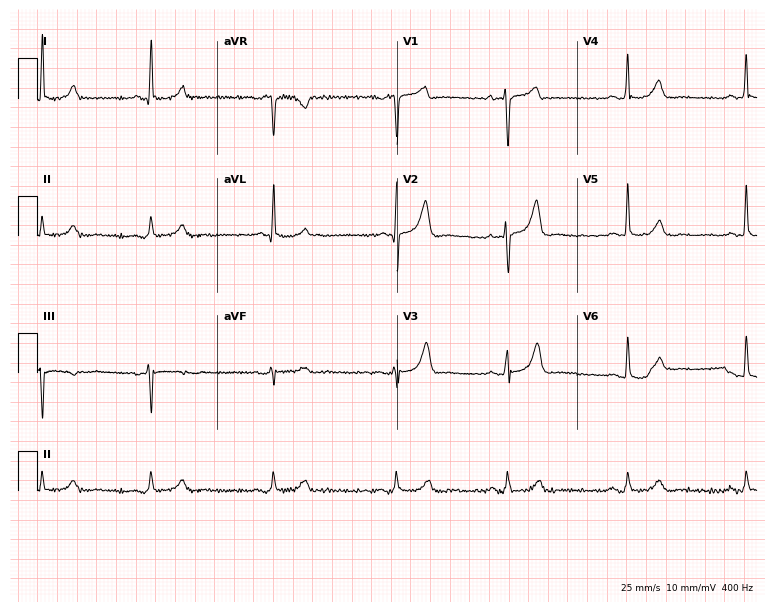
ECG (7.3-second recording at 400 Hz) — an 82-year-old male. Findings include sinus bradycardia (a sinus rate of 50 beats per minute or less).